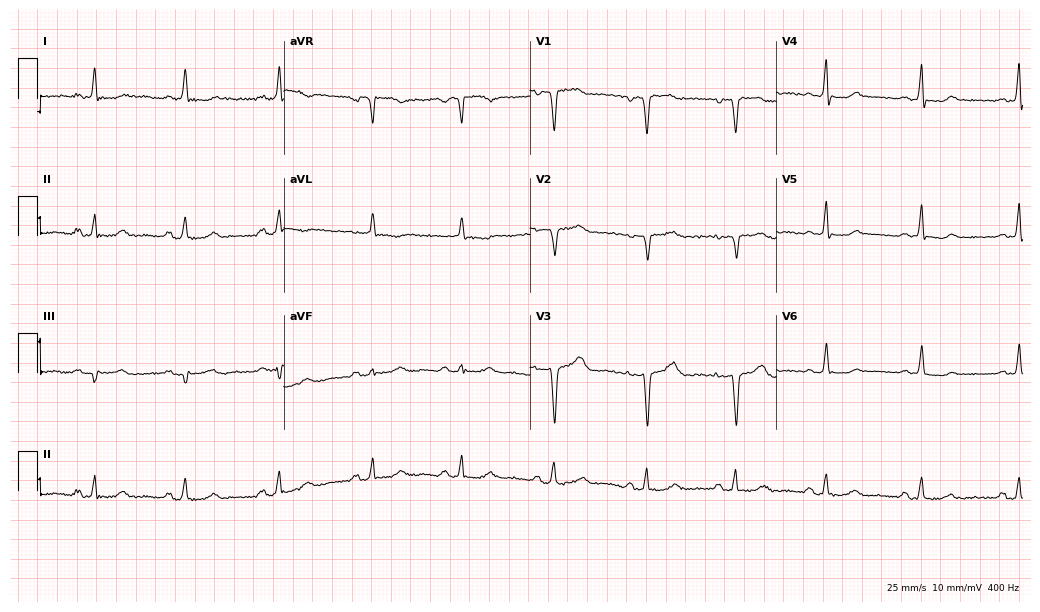
Resting 12-lead electrocardiogram (10-second recording at 400 Hz). Patient: a 62-year-old woman. None of these six findings is recorded: first-degree AV block, right bundle branch block (RBBB), left bundle branch block (LBBB), sinus bradycardia, atrial fibrillation (AF), sinus tachycardia.